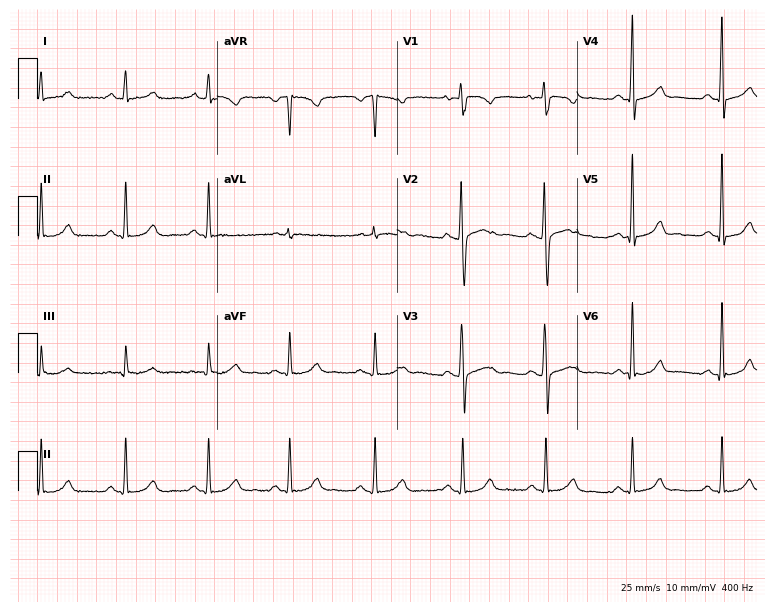
Resting 12-lead electrocardiogram (7.3-second recording at 400 Hz). Patient: a 33-year-old woman. Read as a normal ECG.